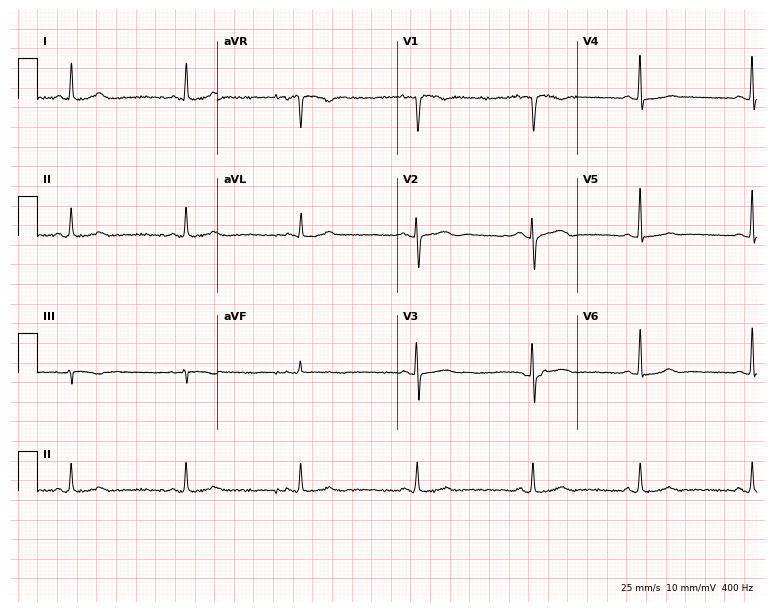
Electrocardiogram (7.3-second recording at 400 Hz), a 42-year-old woman. Of the six screened findings (first-degree AV block, right bundle branch block, left bundle branch block, sinus bradycardia, atrial fibrillation, sinus tachycardia), none is recorded.